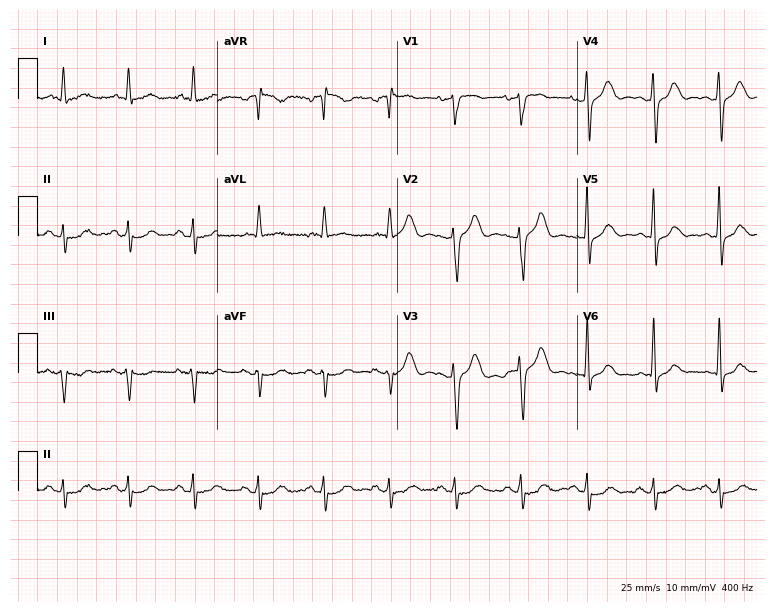
Resting 12-lead electrocardiogram (7.3-second recording at 400 Hz). Patient: a 66-year-old male. None of these six findings is recorded: first-degree AV block, right bundle branch block (RBBB), left bundle branch block (LBBB), sinus bradycardia, atrial fibrillation (AF), sinus tachycardia. Other findings, if any, are not listed.